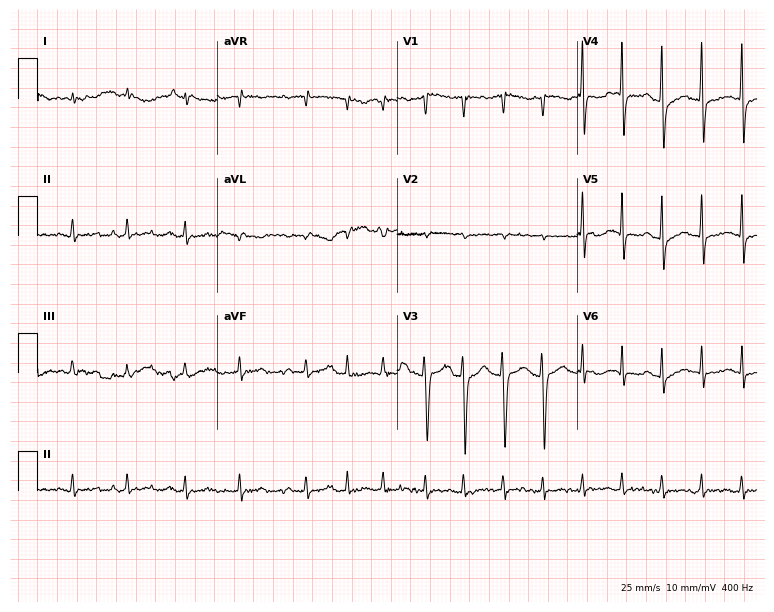
ECG — a male, 84 years old. Findings include atrial fibrillation.